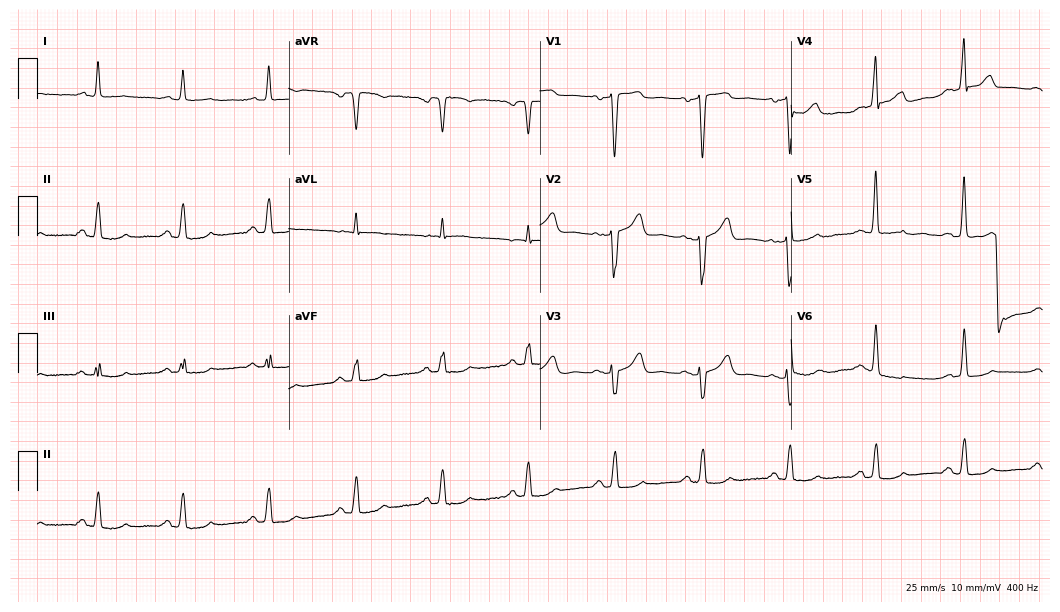
Standard 12-lead ECG recorded from a male, 76 years old. None of these six findings is recorded: first-degree AV block, right bundle branch block, left bundle branch block, sinus bradycardia, atrial fibrillation, sinus tachycardia. Findings outside these six are not listed.